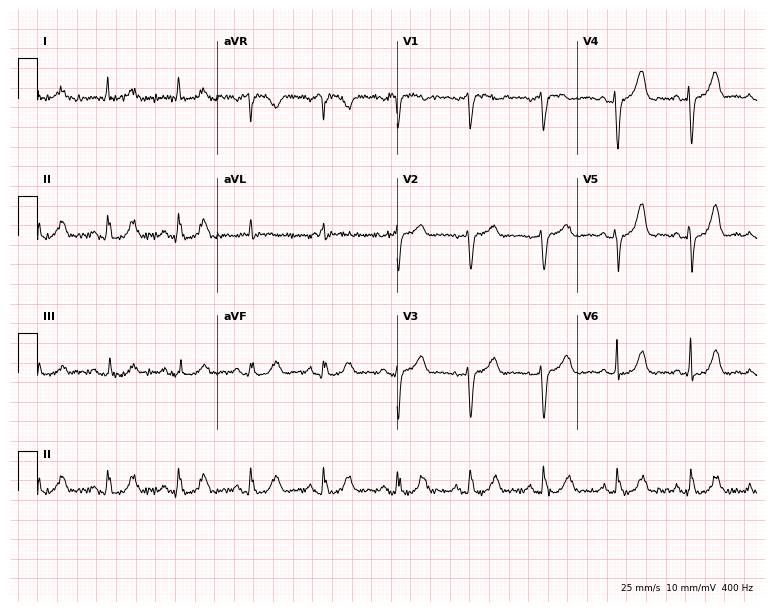
Electrocardiogram (7.3-second recording at 400 Hz), a female patient, 64 years old. Overall reading on record: normal ECG.